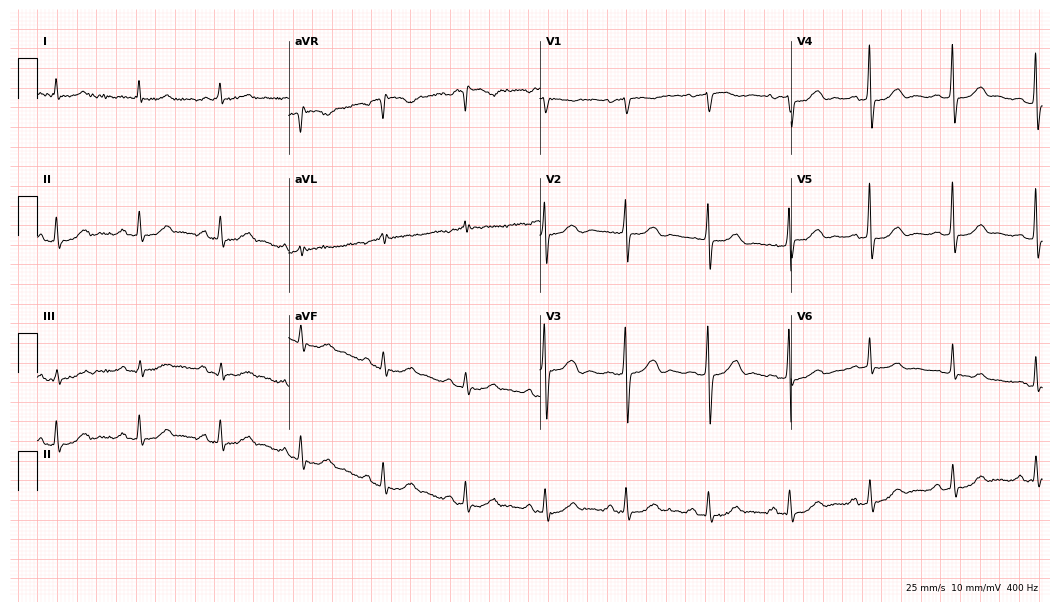
ECG — a 77-year-old female. Labelled as a normal ECG.